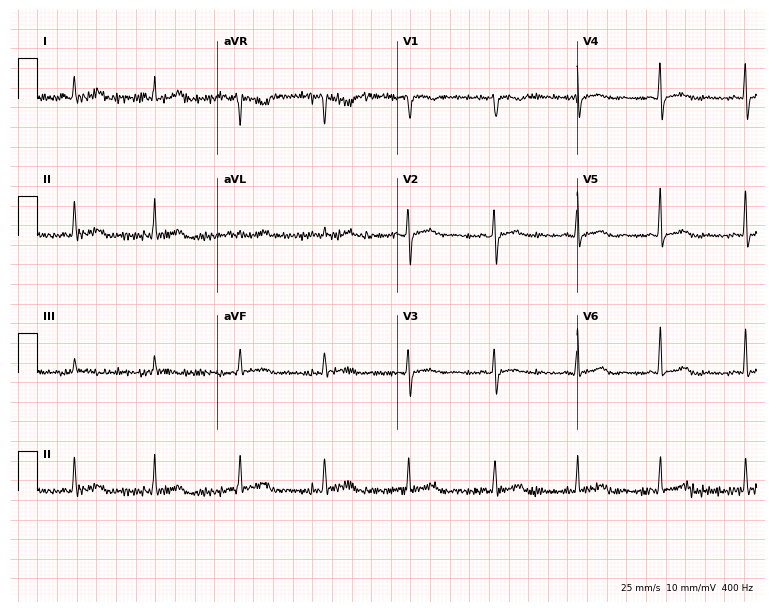
Standard 12-lead ECG recorded from a female patient, 46 years old. Read as a normal ECG.